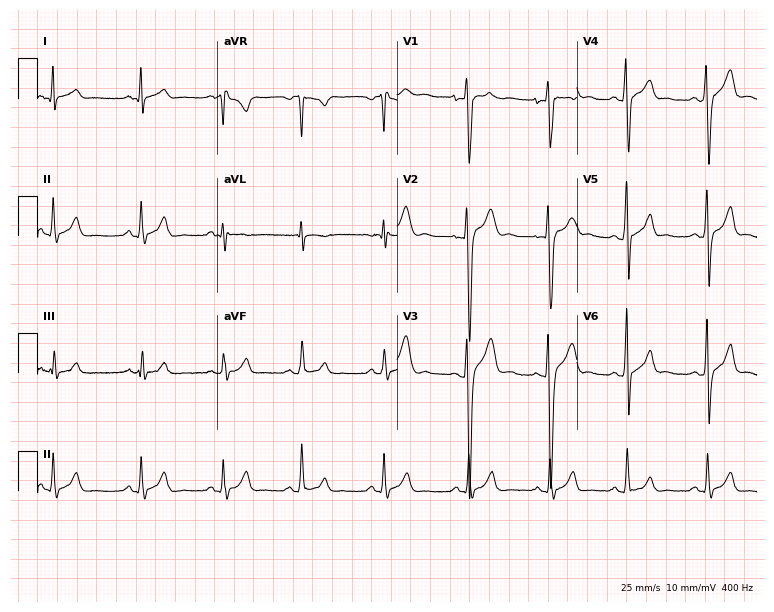
Electrocardiogram (7.3-second recording at 400 Hz), a male patient, 30 years old. Overall reading on record: normal ECG.